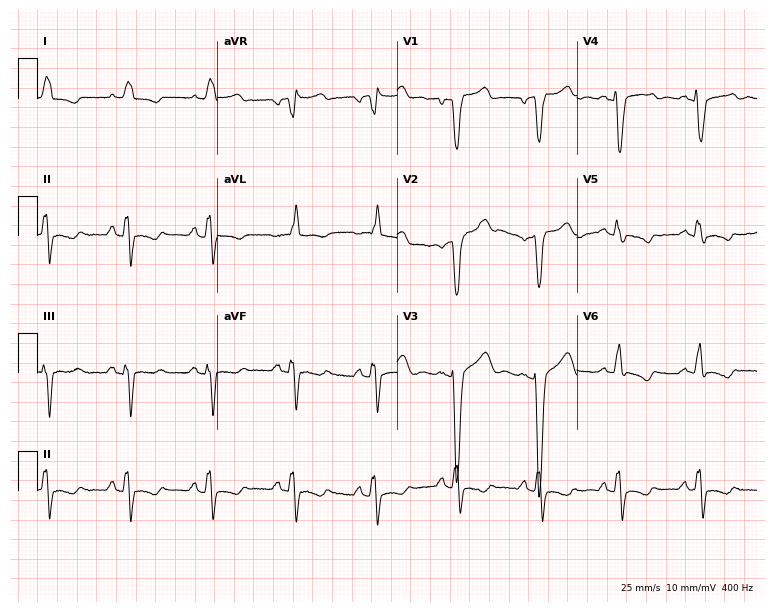
12-lead ECG from a female, 56 years old (7.3-second recording at 400 Hz). Shows left bundle branch block.